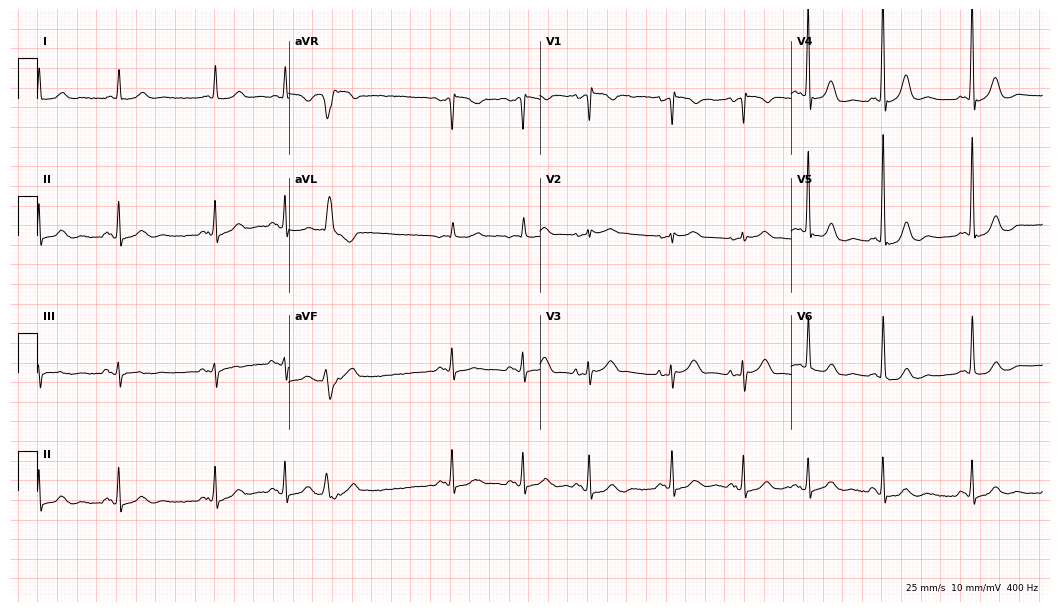
Standard 12-lead ECG recorded from a woman, 82 years old (10.2-second recording at 400 Hz). None of these six findings is recorded: first-degree AV block, right bundle branch block, left bundle branch block, sinus bradycardia, atrial fibrillation, sinus tachycardia.